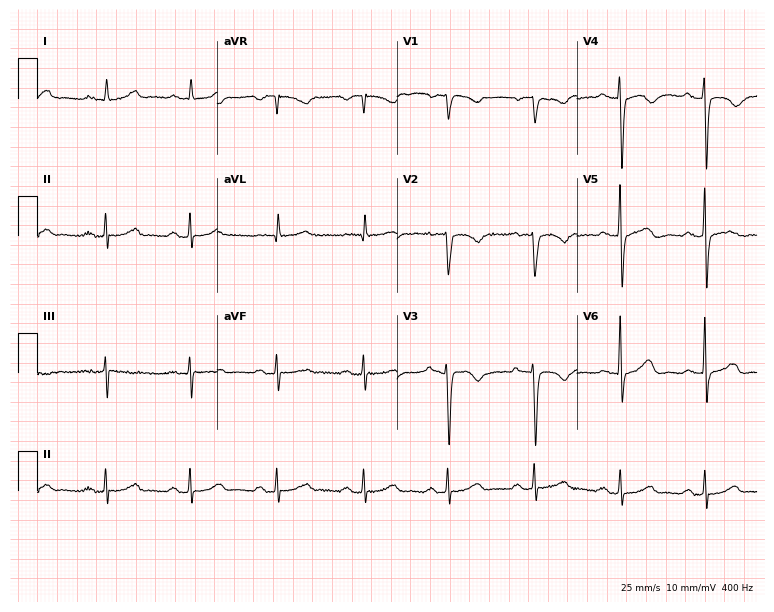
ECG — a 79-year-old female. Screened for six findings — first-degree AV block, right bundle branch block, left bundle branch block, sinus bradycardia, atrial fibrillation, sinus tachycardia — none is recorded.